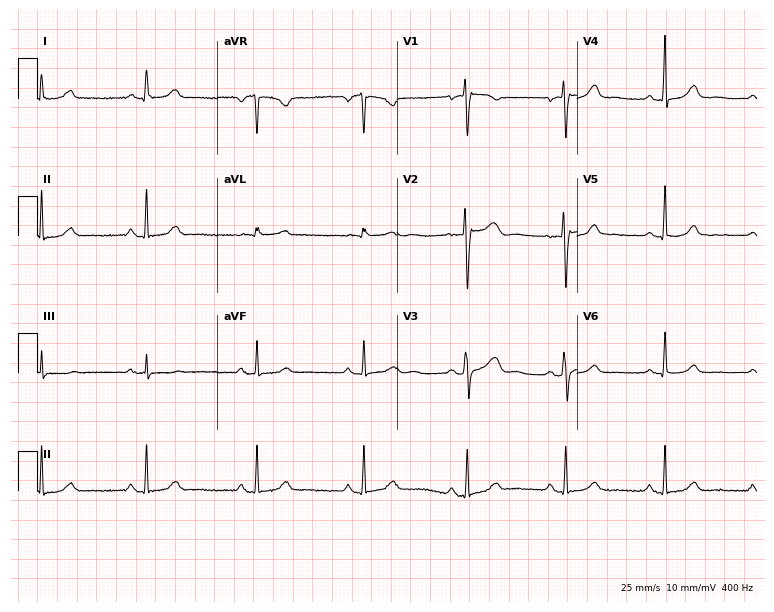
Electrocardiogram (7.3-second recording at 400 Hz), a 51-year-old female patient. Overall reading on record: normal ECG.